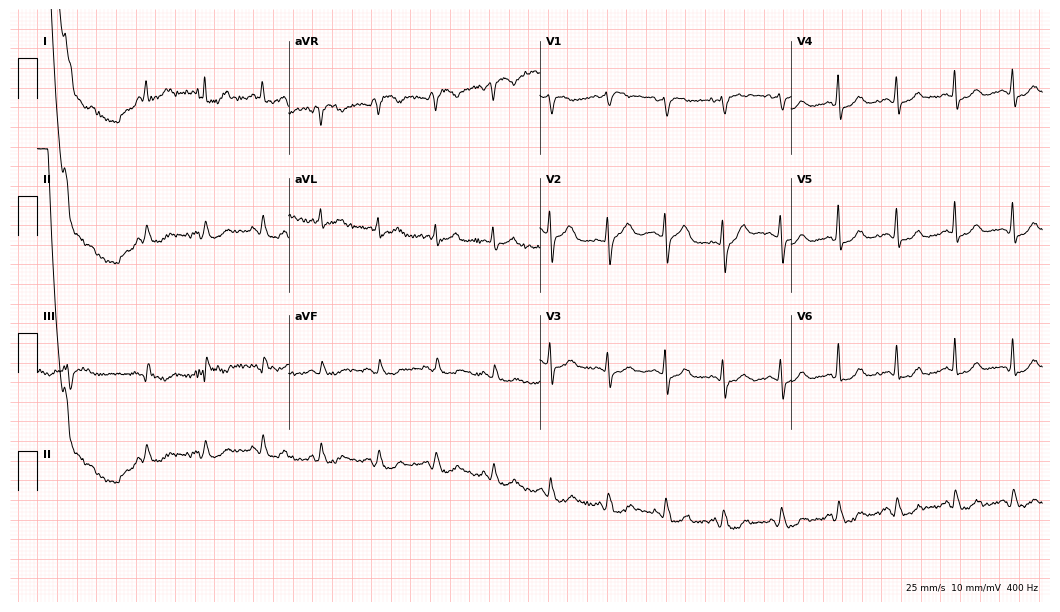
12-lead ECG from a woman, 82 years old. Screened for six findings — first-degree AV block, right bundle branch block (RBBB), left bundle branch block (LBBB), sinus bradycardia, atrial fibrillation (AF), sinus tachycardia — none is recorded. Findings outside these six are not listed.